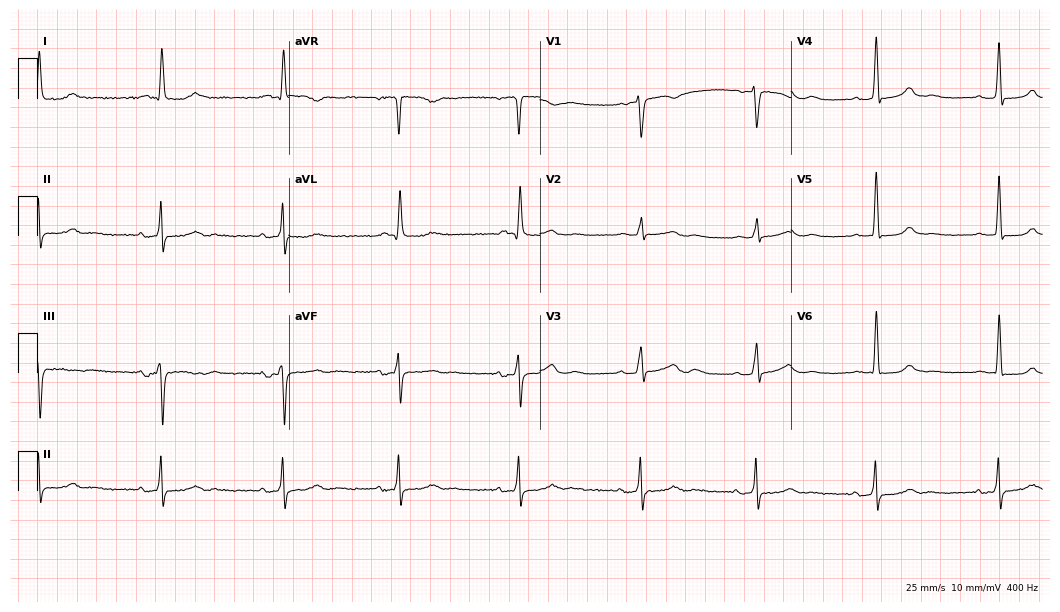
Electrocardiogram, a female, 71 years old. Interpretation includes sinus bradycardia (a sinus rate of 50 beats per minute or less).